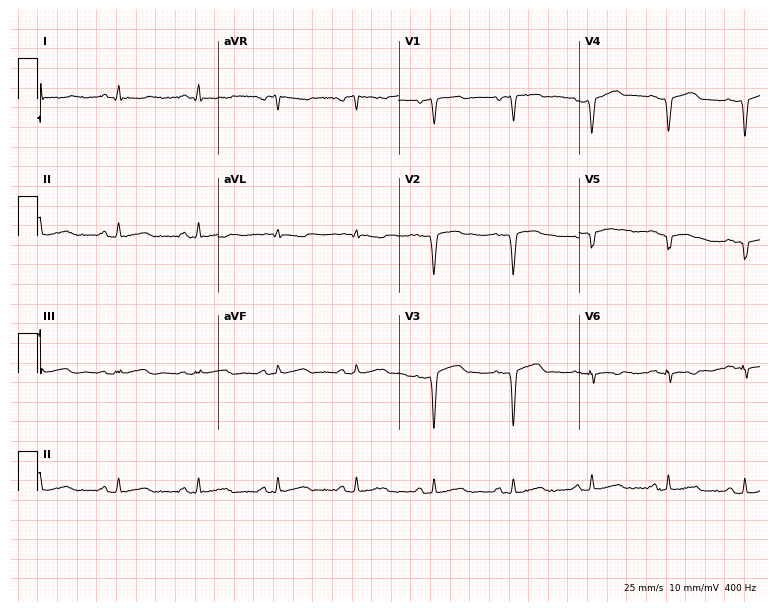
12-lead ECG from a man, 61 years old. Screened for six findings — first-degree AV block, right bundle branch block, left bundle branch block, sinus bradycardia, atrial fibrillation, sinus tachycardia — none is recorded.